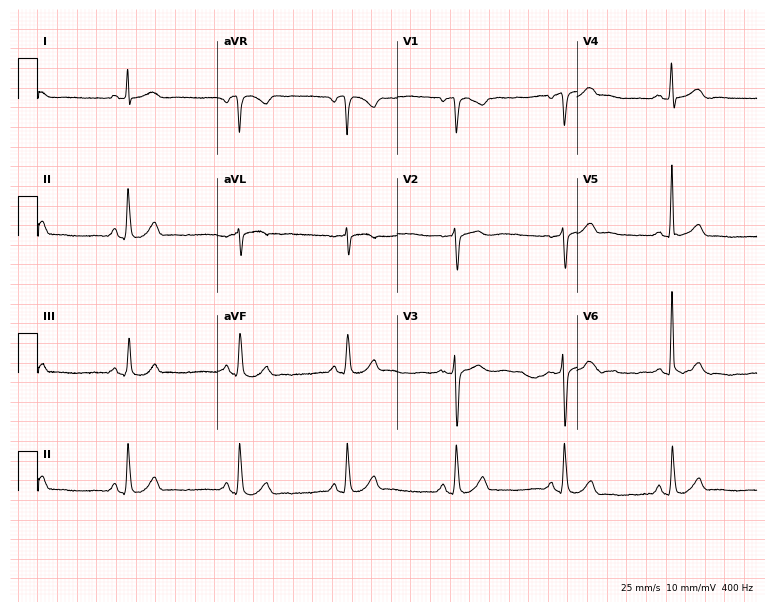
ECG (7.3-second recording at 400 Hz) — a male, 55 years old. Labelled as a normal ECG.